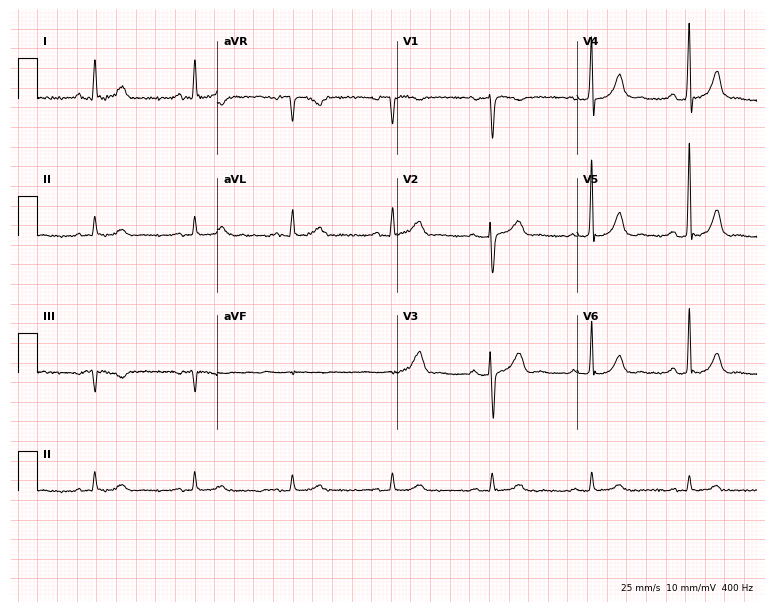
12-lead ECG from a male, 73 years old. Recorded interpretation: within normal limits.